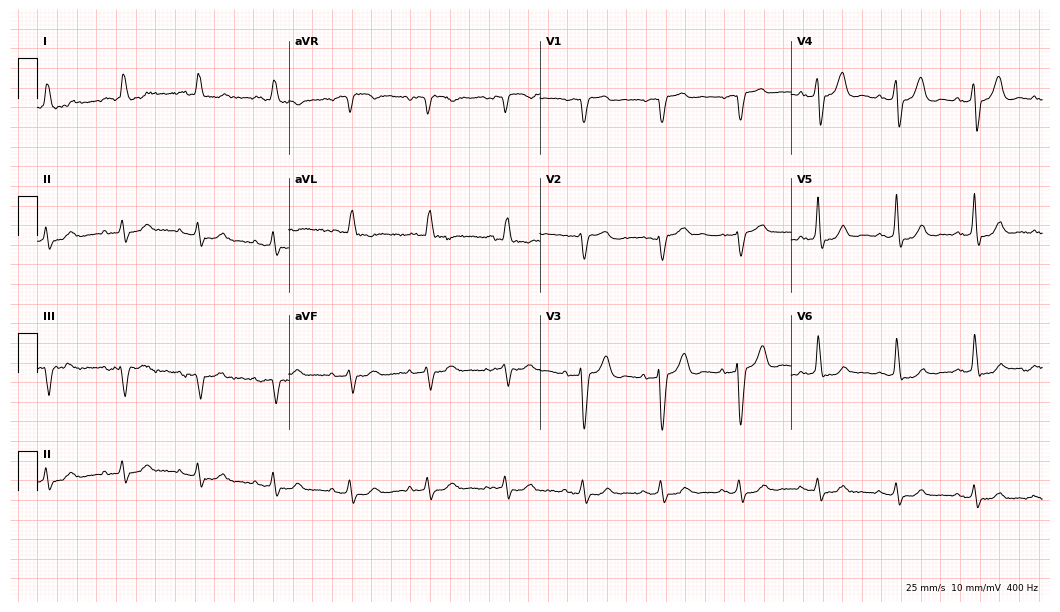
ECG (10.2-second recording at 400 Hz) — an 80-year-old man. Screened for six findings — first-degree AV block, right bundle branch block (RBBB), left bundle branch block (LBBB), sinus bradycardia, atrial fibrillation (AF), sinus tachycardia — none is recorded.